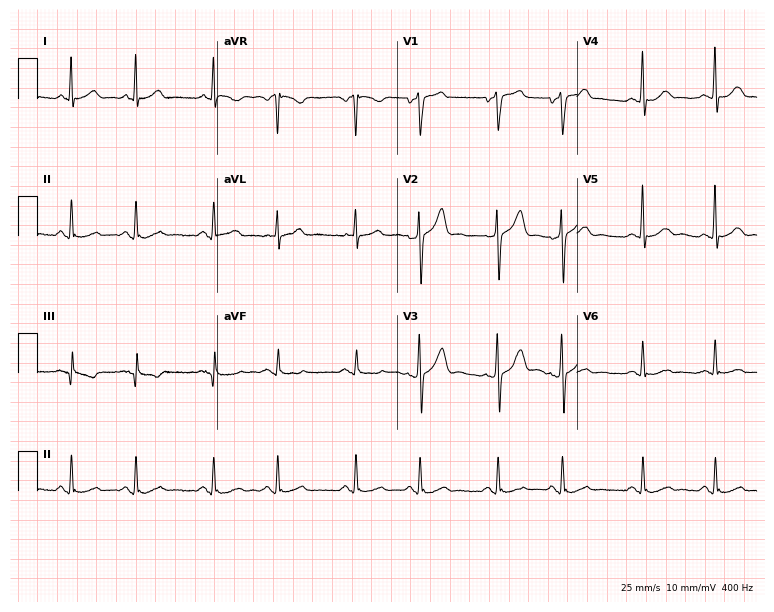
Electrocardiogram (7.3-second recording at 400 Hz), a 50-year-old man. Overall reading on record: normal ECG.